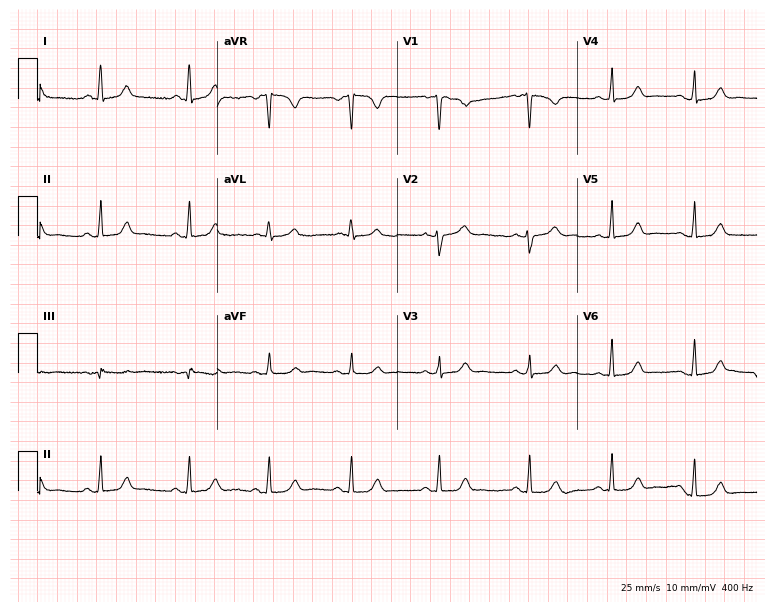
Resting 12-lead electrocardiogram (7.3-second recording at 400 Hz). Patient: a 31-year-old female. Read as a normal ECG.